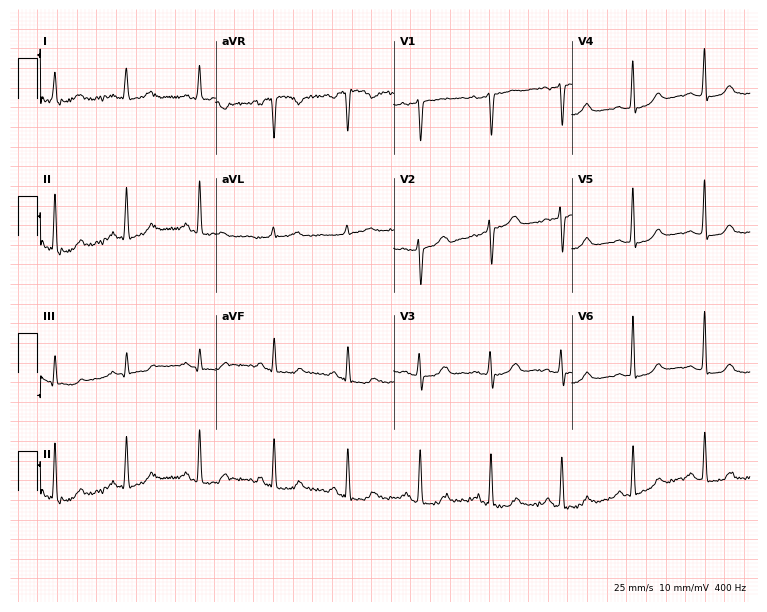
12-lead ECG (7.3-second recording at 400 Hz) from a female, 62 years old. Screened for six findings — first-degree AV block, right bundle branch block, left bundle branch block, sinus bradycardia, atrial fibrillation, sinus tachycardia — none is recorded. Other findings, if any, are not listed.